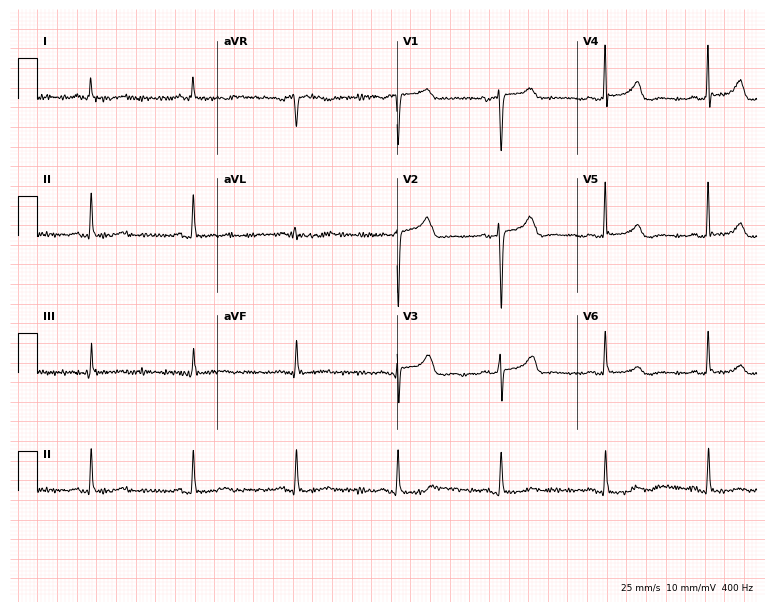
Resting 12-lead electrocardiogram. Patient: a female, 72 years old. Read as a normal ECG.